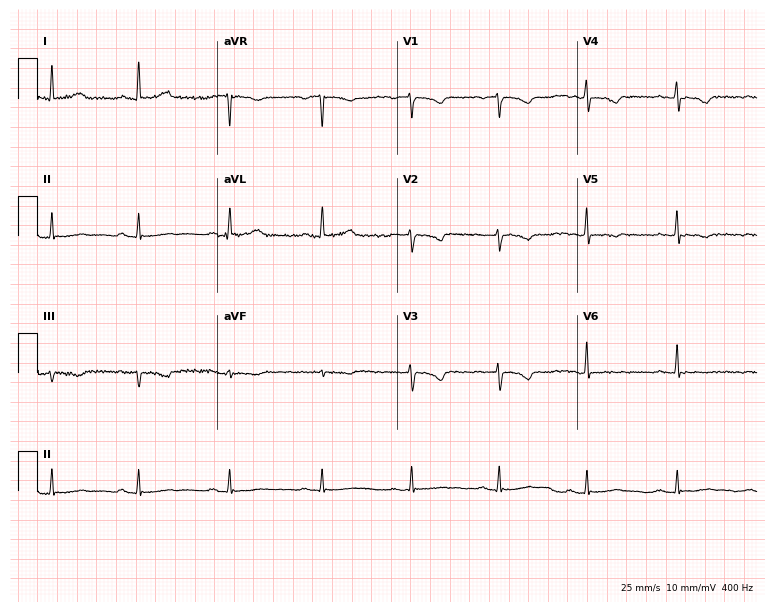
ECG — a 57-year-old female. Labelled as a normal ECG.